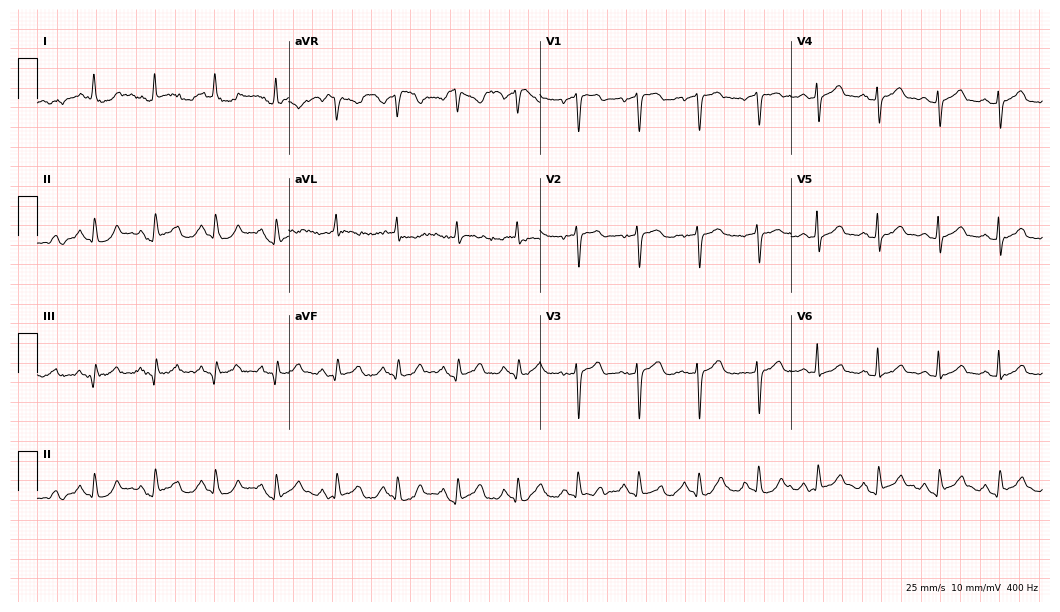
ECG (10.2-second recording at 400 Hz) — a female, 75 years old. Labelled as a normal ECG.